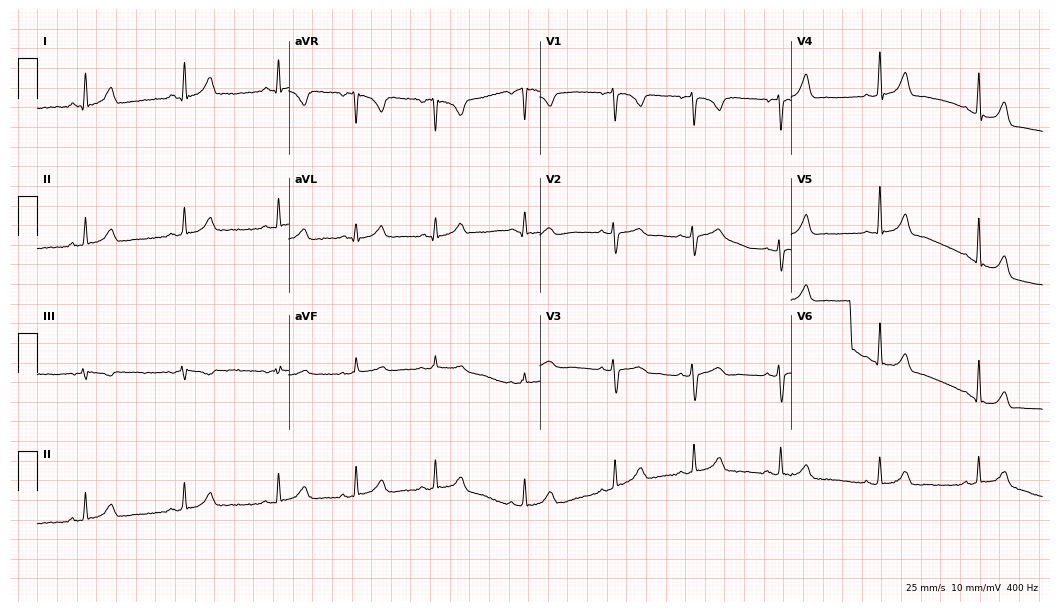
ECG — a 33-year-old female patient. Screened for six findings — first-degree AV block, right bundle branch block (RBBB), left bundle branch block (LBBB), sinus bradycardia, atrial fibrillation (AF), sinus tachycardia — none is recorded. Only these six findings were labelled.